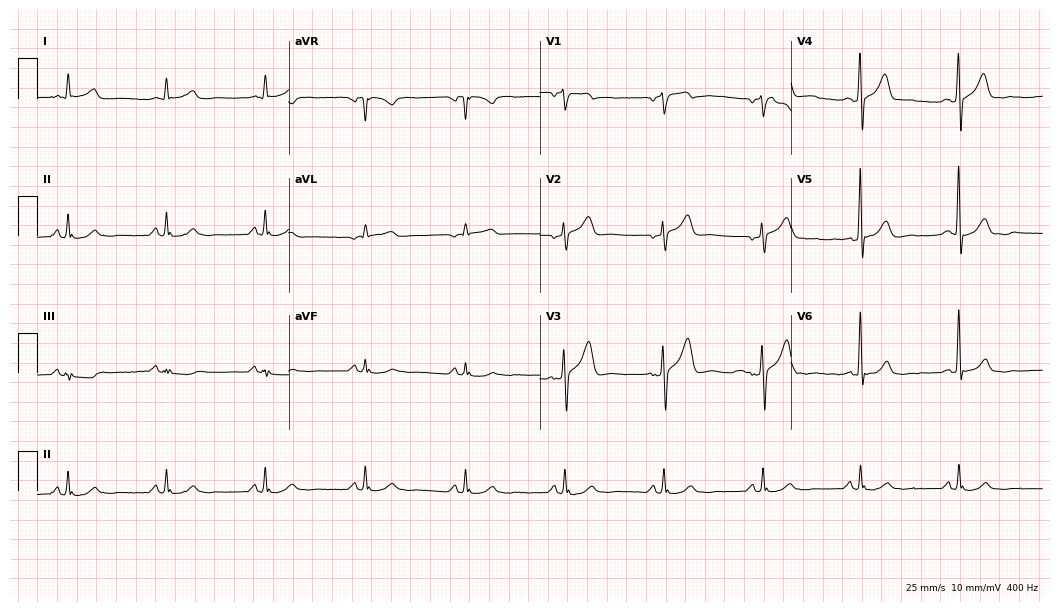
Electrocardiogram, a 65-year-old man. Overall reading on record: normal ECG.